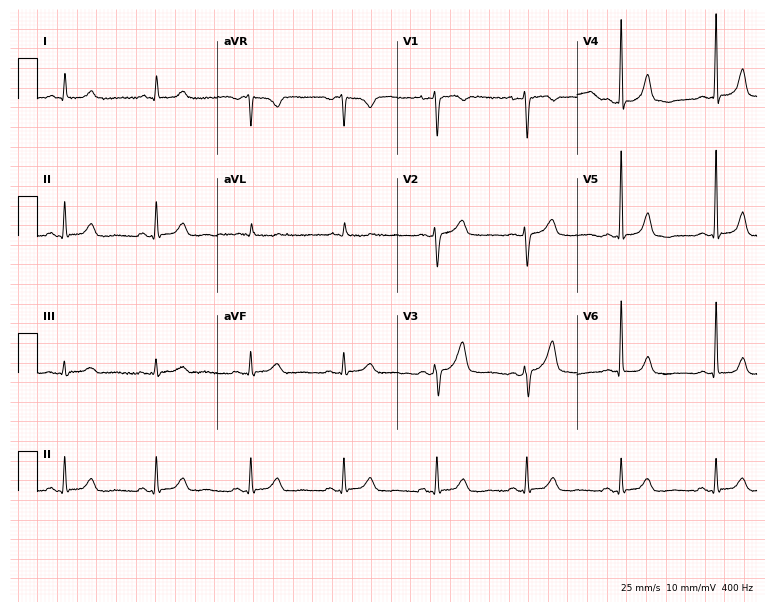
ECG — a woman, 55 years old. Screened for six findings — first-degree AV block, right bundle branch block, left bundle branch block, sinus bradycardia, atrial fibrillation, sinus tachycardia — none is recorded. Other findings, if any, are not listed.